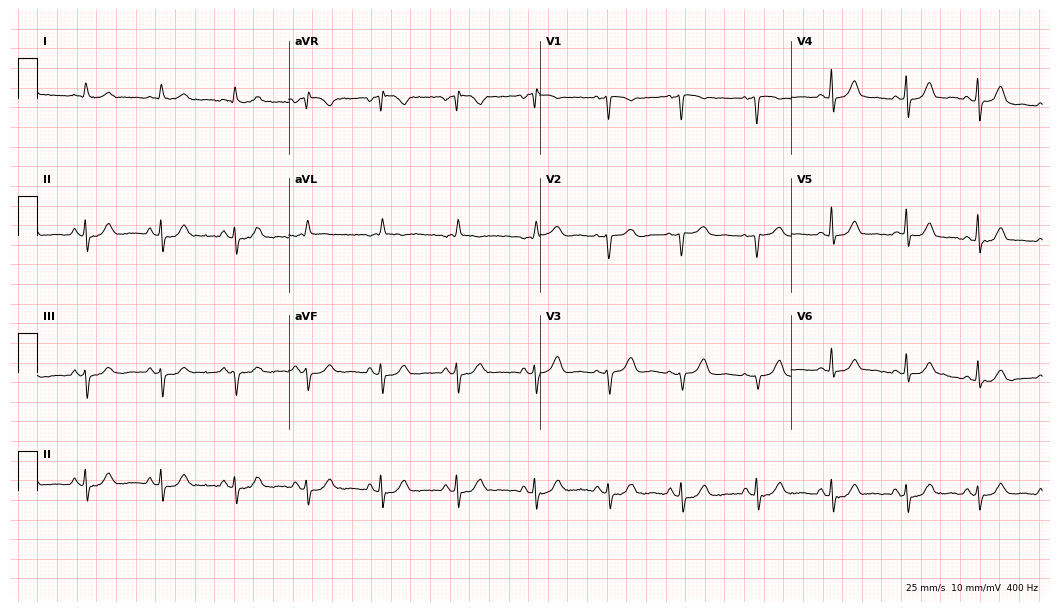
ECG (10.2-second recording at 400 Hz) — an 83-year-old woman. Screened for six findings — first-degree AV block, right bundle branch block (RBBB), left bundle branch block (LBBB), sinus bradycardia, atrial fibrillation (AF), sinus tachycardia — none is recorded. Other findings, if any, are not listed.